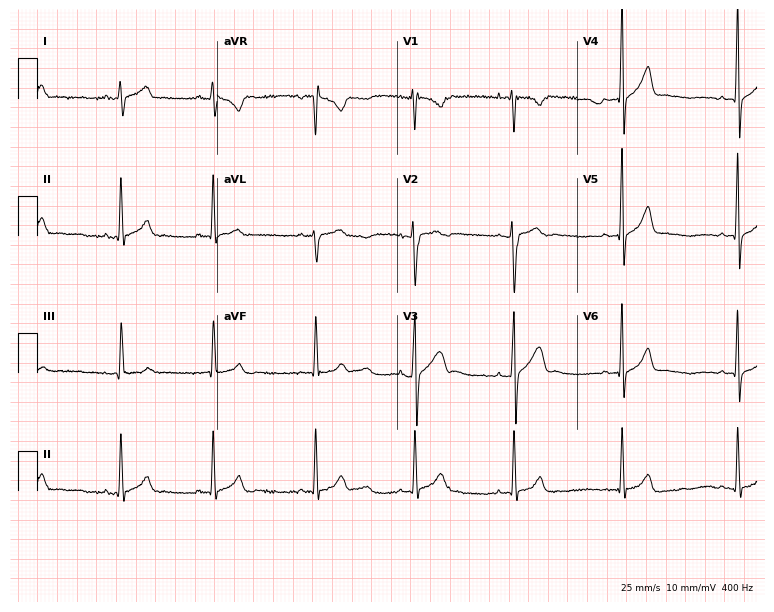
Electrocardiogram (7.3-second recording at 400 Hz), a male patient, 21 years old. Of the six screened findings (first-degree AV block, right bundle branch block, left bundle branch block, sinus bradycardia, atrial fibrillation, sinus tachycardia), none is recorded.